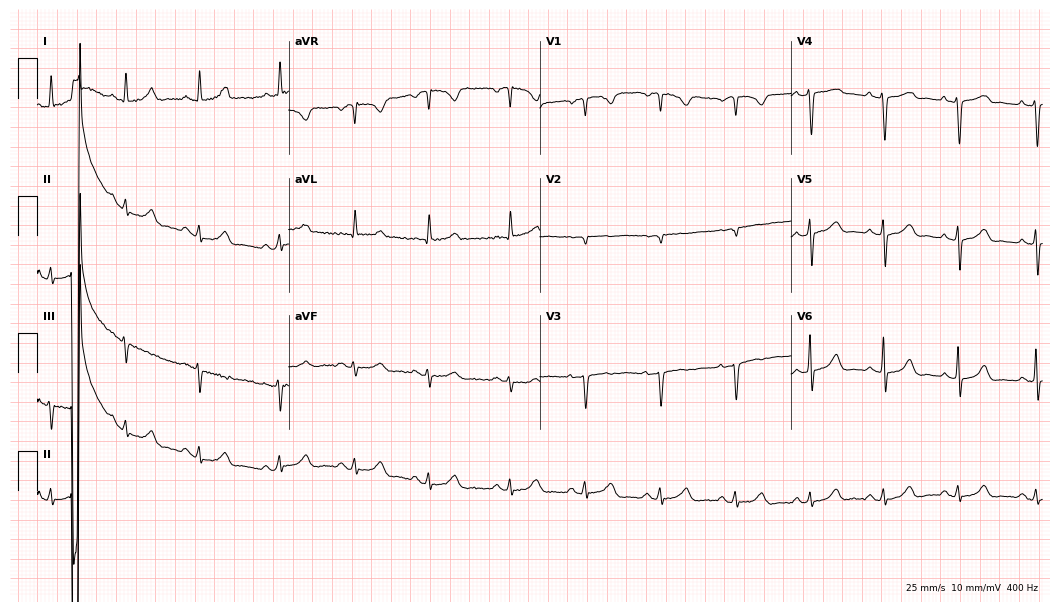
Standard 12-lead ECG recorded from a 41-year-old female patient. None of these six findings is recorded: first-degree AV block, right bundle branch block, left bundle branch block, sinus bradycardia, atrial fibrillation, sinus tachycardia.